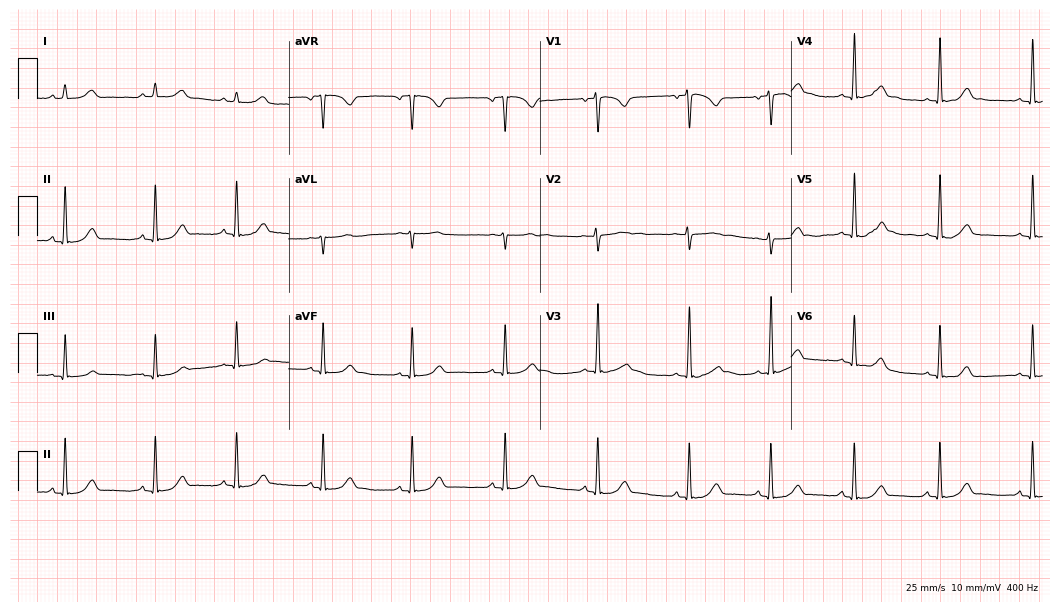
Resting 12-lead electrocardiogram (10.2-second recording at 400 Hz). Patient: a female, 21 years old. Read as a normal ECG.